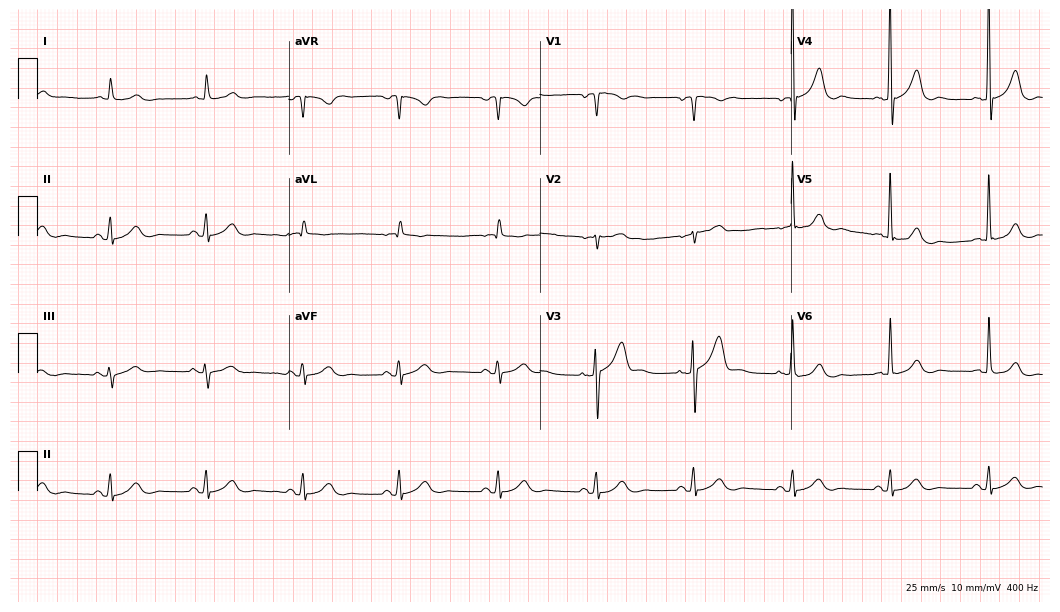
ECG — a man, 81 years old. Labelled as a normal ECG.